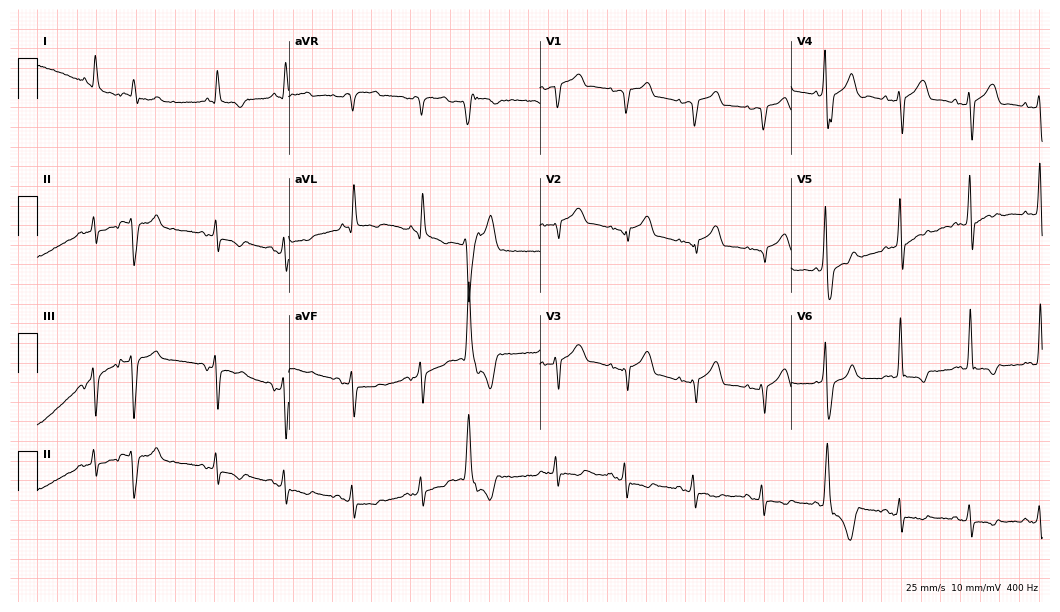
Electrocardiogram (10.2-second recording at 400 Hz), a male patient, 76 years old. Of the six screened findings (first-degree AV block, right bundle branch block, left bundle branch block, sinus bradycardia, atrial fibrillation, sinus tachycardia), none is recorded.